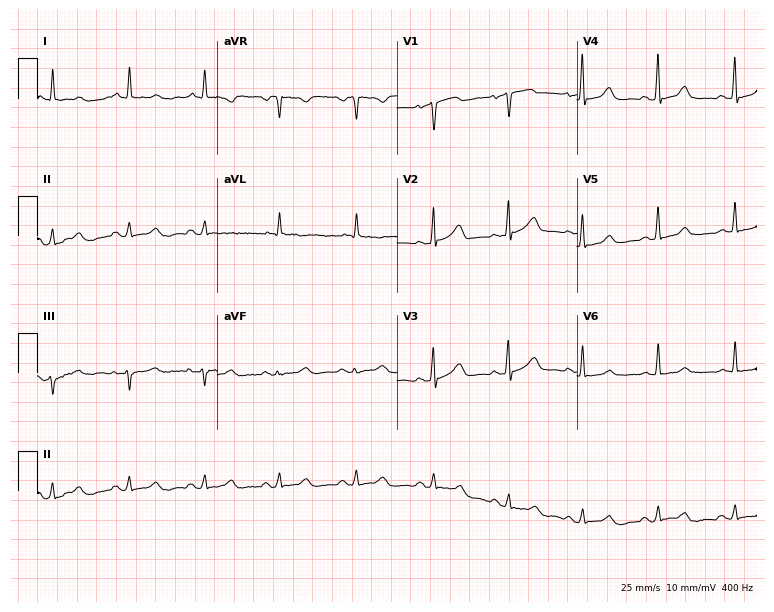
Electrocardiogram (7.3-second recording at 400 Hz), a female patient, 76 years old. Of the six screened findings (first-degree AV block, right bundle branch block, left bundle branch block, sinus bradycardia, atrial fibrillation, sinus tachycardia), none is recorded. Only these six findings were labelled.